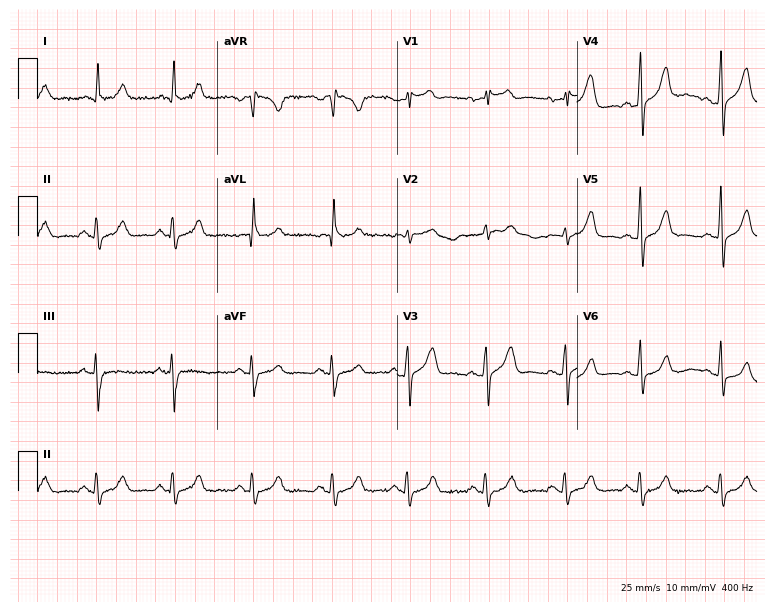
Standard 12-lead ECG recorded from a 45-year-old male (7.3-second recording at 400 Hz). None of these six findings is recorded: first-degree AV block, right bundle branch block (RBBB), left bundle branch block (LBBB), sinus bradycardia, atrial fibrillation (AF), sinus tachycardia.